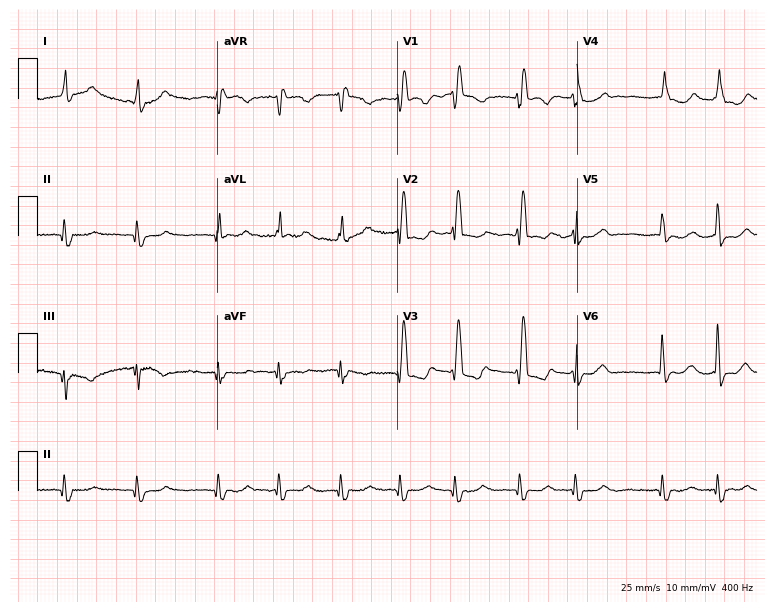
ECG — a 73-year-old female patient. Findings include right bundle branch block, atrial fibrillation.